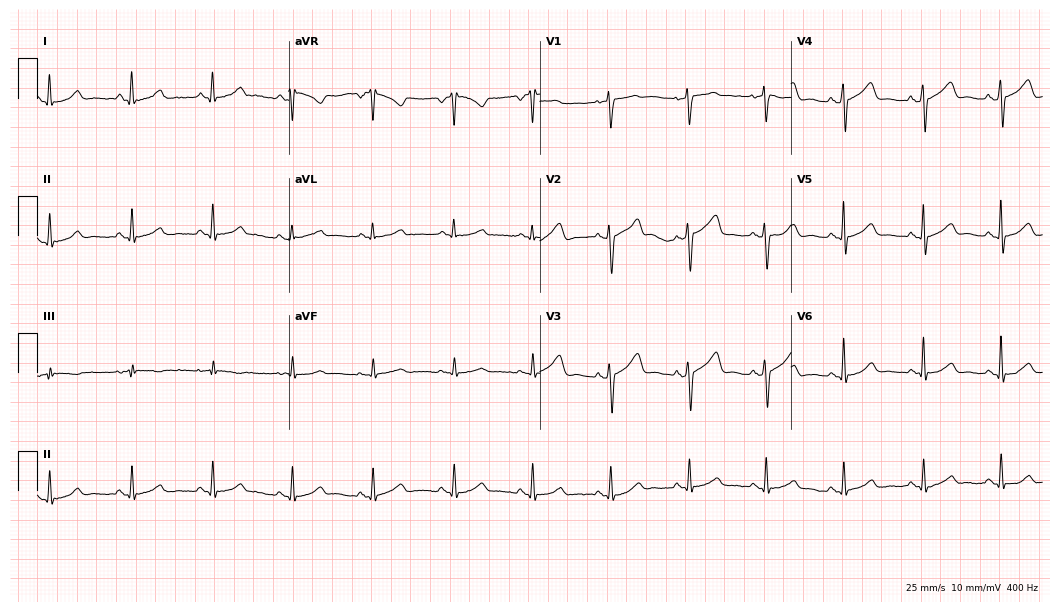
ECG (10.2-second recording at 400 Hz) — a 53-year-old female. Labelled as a normal ECG.